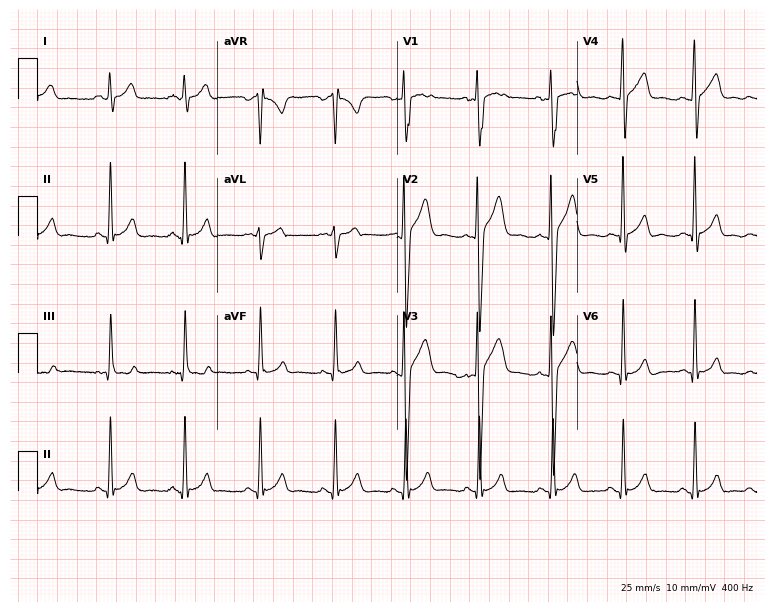
ECG (7.3-second recording at 400 Hz) — a 17-year-old male patient. Labelled as a normal ECG.